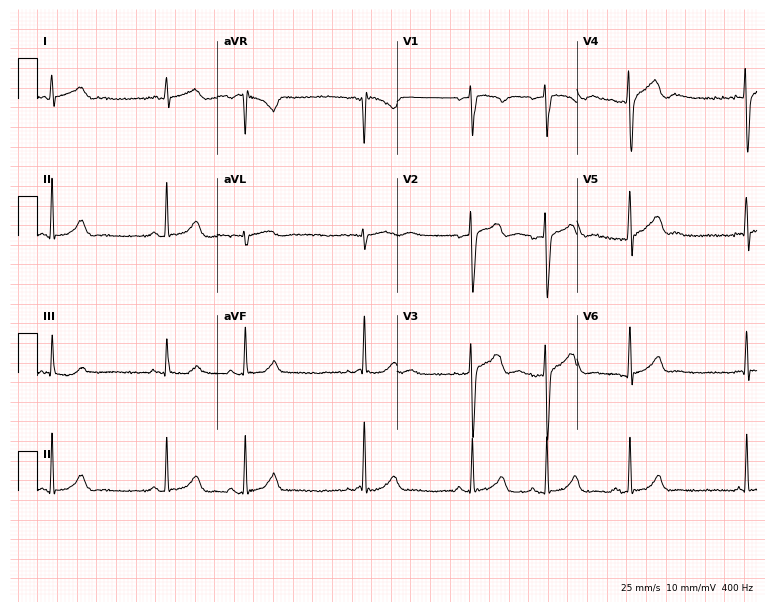
12-lead ECG (7.3-second recording at 400 Hz) from a man, 22 years old. Labelled as a normal ECG.